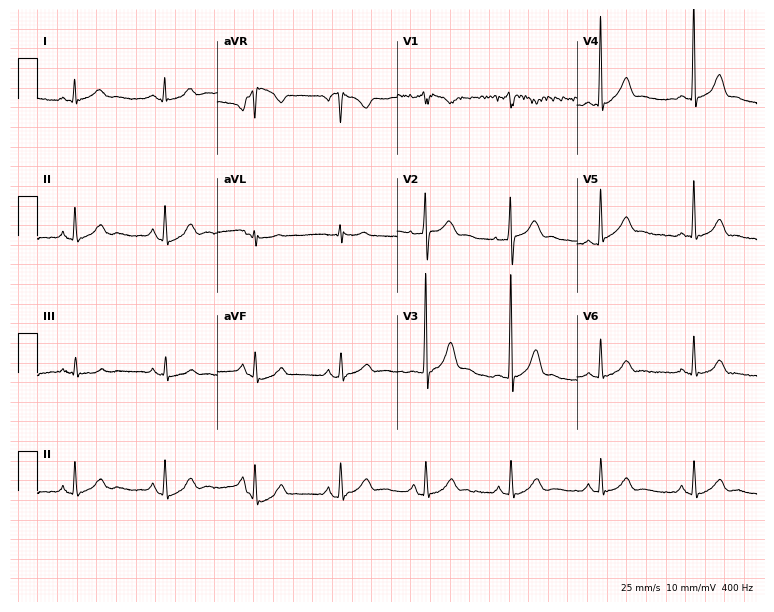
Standard 12-lead ECG recorded from a man, 46 years old (7.3-second recording at 400 Hz). Read as a normal ECG.